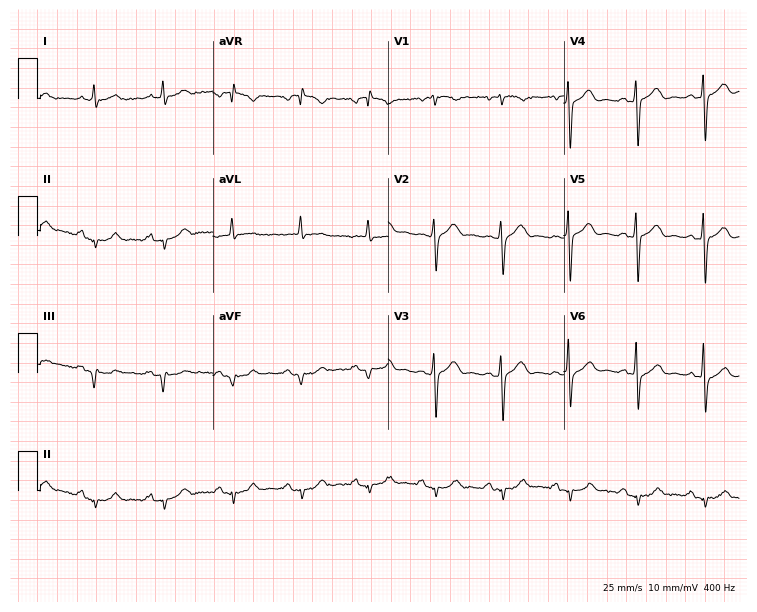
12-lead ECG (7.2-second recording at 400 Hz) from a man, 56 years old. Screened for six findings — first-degree AV block, right bundle branch block (RBBB), left bundle branch block (LBBB), sinus bradycardia, atrial fibrillation (AF), sinus tachycardia — none is recorded. Findings outside these six are not listed.